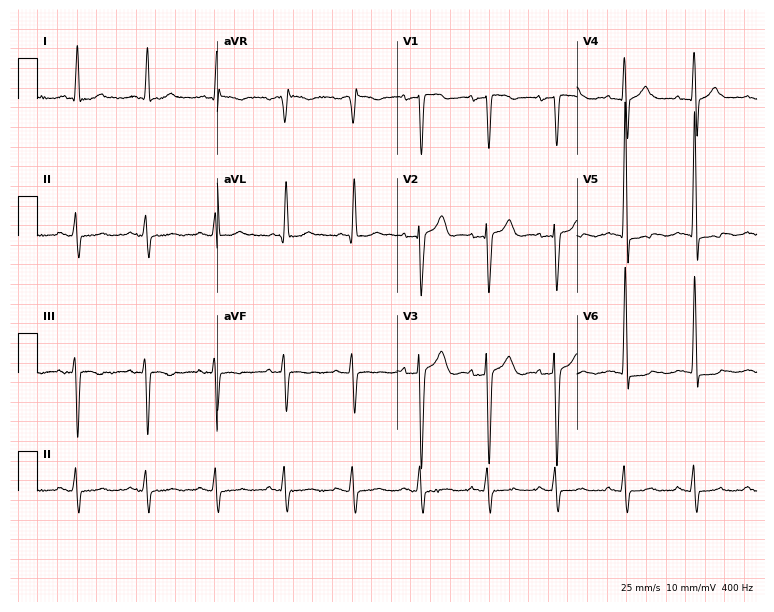
12-lead ECG from a male, 73 years old (7.3-second recording at 400 Hz). No first-degree AV block, right bundle branch block (RBBB), left bundle branch block (LBBB), sinus bradycardia, atrial fibrillation (AF) or sinus tachycardia recorded for this tracing.